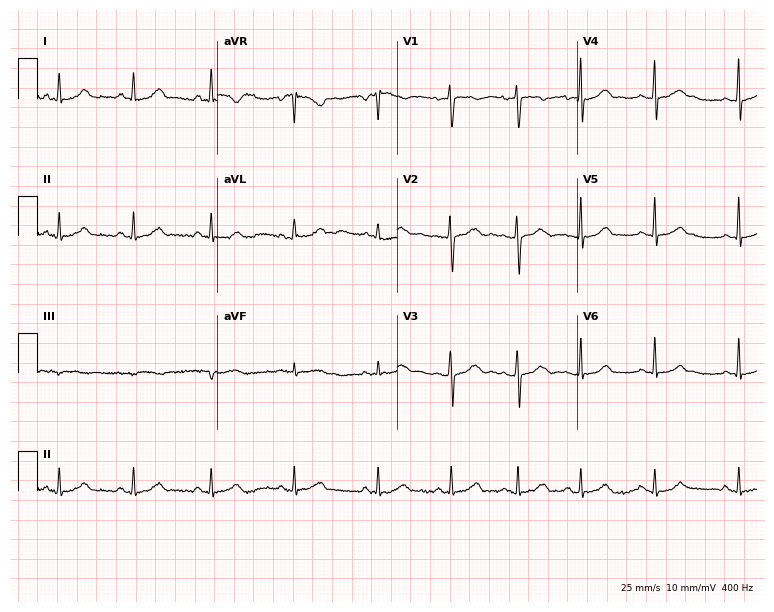
ECG — a 29-year-old woman. Screened for six findings — first-degree AV block, right bundle branch block (RBBB), left bundle branch block (LBBB), sinus bradycardia, atrial fibrillation (AF), sinus tachycardia — none is recorded. Findings outside these six are not listed.